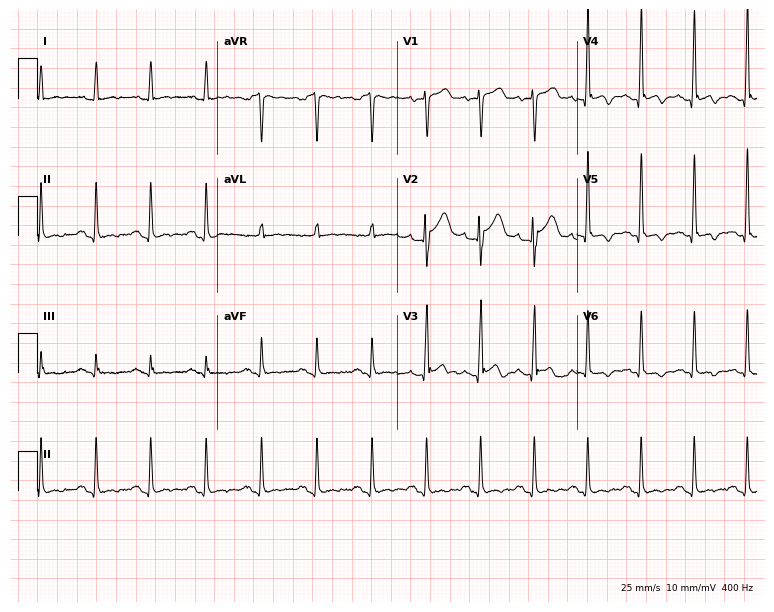
12-lead ECG from a 39-year-old man (7.3-second recording at 400 Hz). Shows sinus tachycardia (a sinus rate of 100 beats per minute or more).